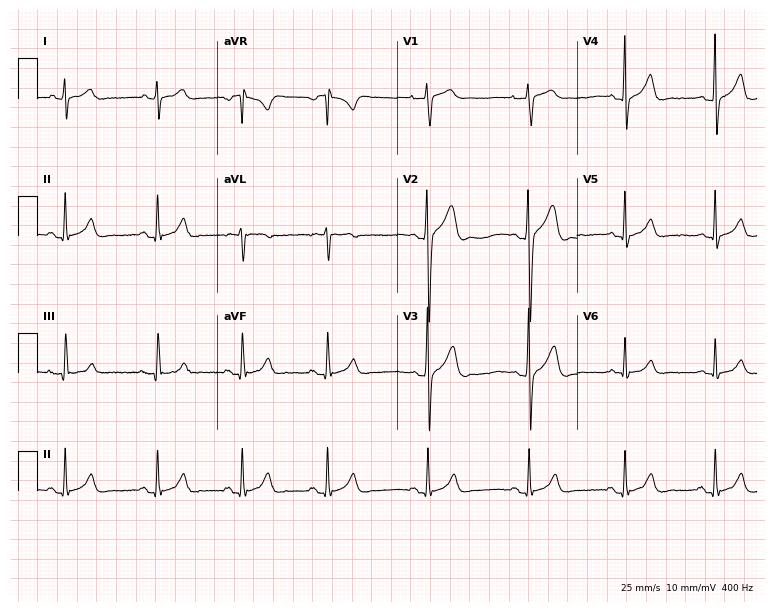
12-lead ECG from a male patient, 23 years old (7.3-second recording at 400 Hz). Recorded interpretation: within normal limits.